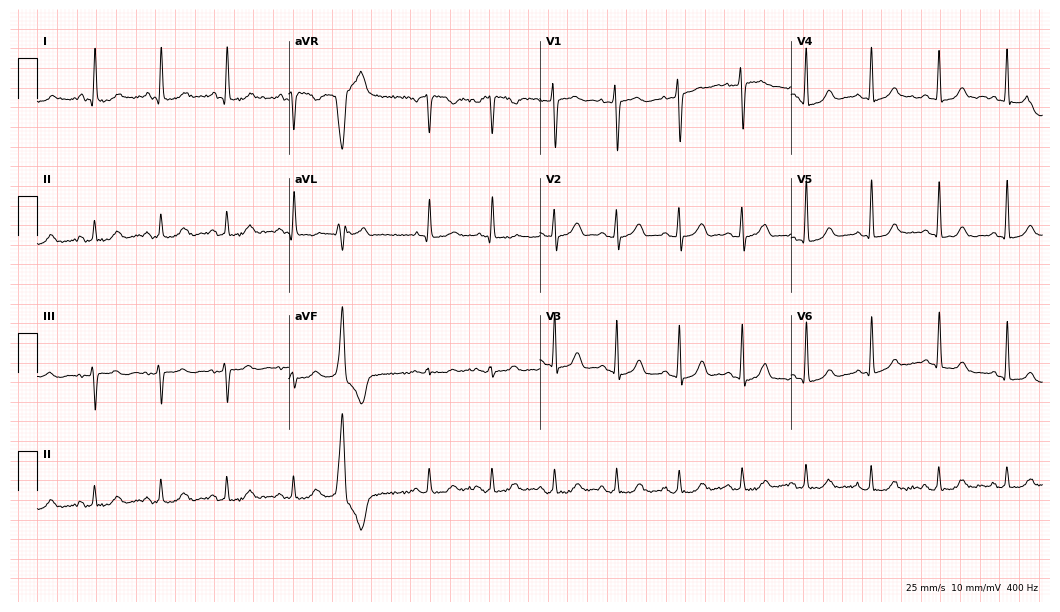
Resting 12-lead electrocardiogram (10.2-second recording at 400 Hz). Patient: a 65-year-old woman. None of these six findings is recorded: first-degree AV block, right bundle branch block, left bundle branch block, sinus bradycardia, atrial fibrillation, sinus tachycardia. Other findings, if any, are not listed.